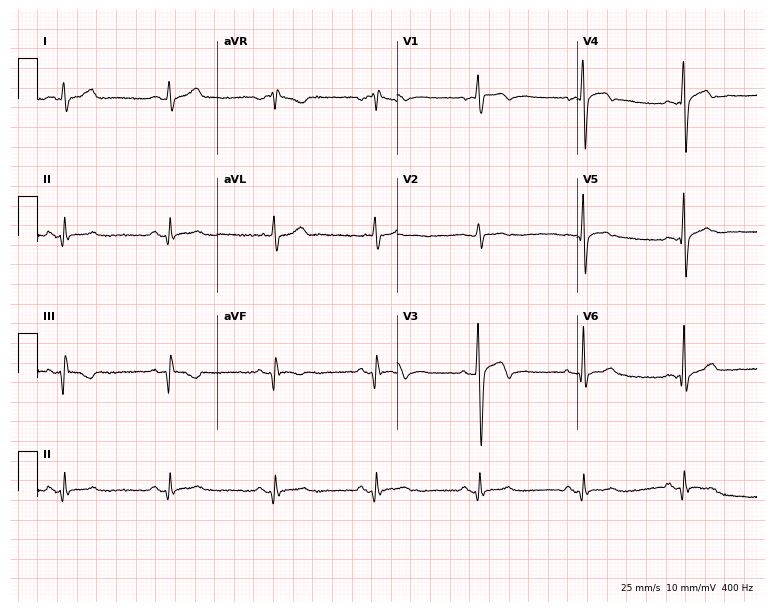
12-lead ECG (7.3-second recording at 400 Hz) from a 34-year-old male. Labelled as a normal ECG.